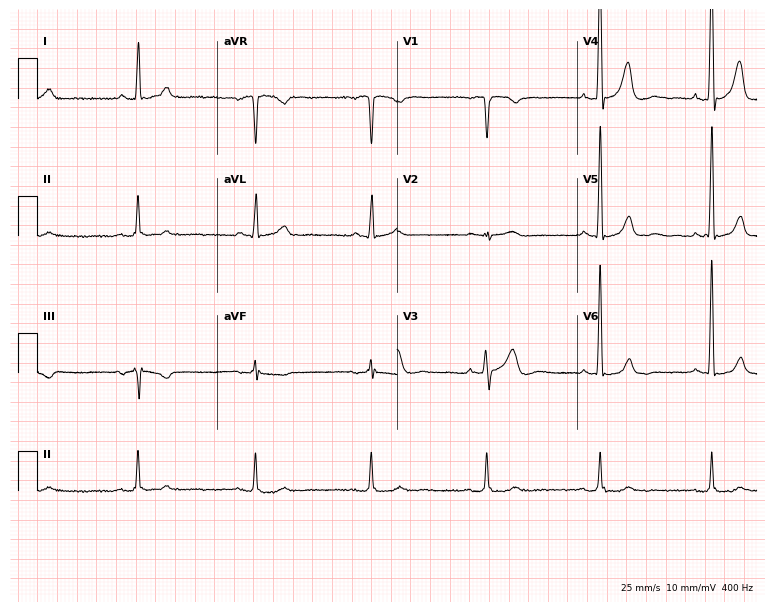
Standard 12-lead ECG recorded from a 60-year-old man (7.3-second recording at 400 Hz). None of these six findings is recorded: first-degree AV block, right bundle branch block, left bundle branch block, sinus bradycardia, atrial fibrillation, sinus tachycardia.